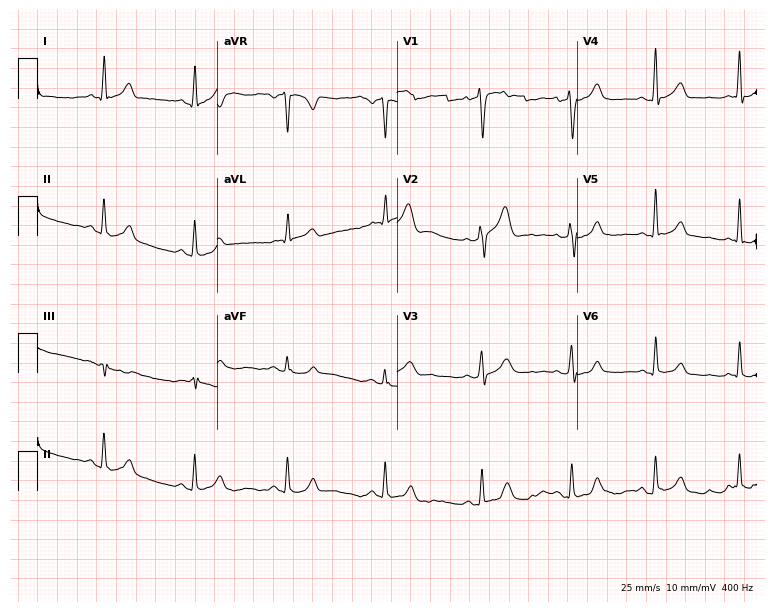
ECG (7.3-second recording at 400 Hz) — a man, 46 years old. Screened for six findings — first-degree AV block, right bundle branch block, left bundle branch block, sinus bradycardia, atrial fibrillation, sinus tachycardia — none is recorded. Findings outside these six are not listed.